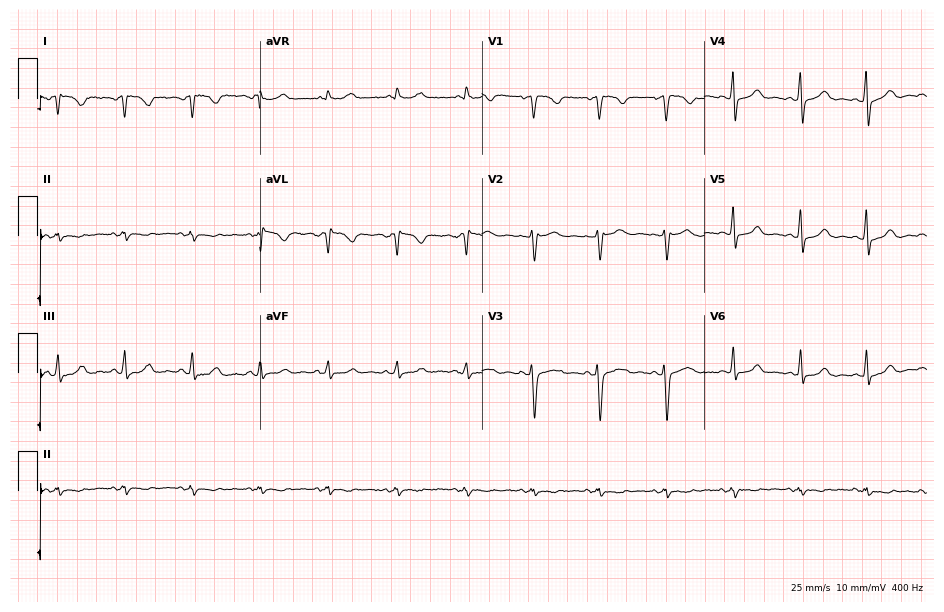
Standard 12-lead ECG recorded from a female patient, 36 years old. None of these six findings is recorded: first-degree AV block, right bundle branch block, left bundle branch block, sinus bradycardia, atrial fibrillation, sinus tachycardia. Findings outside these six are not listed.